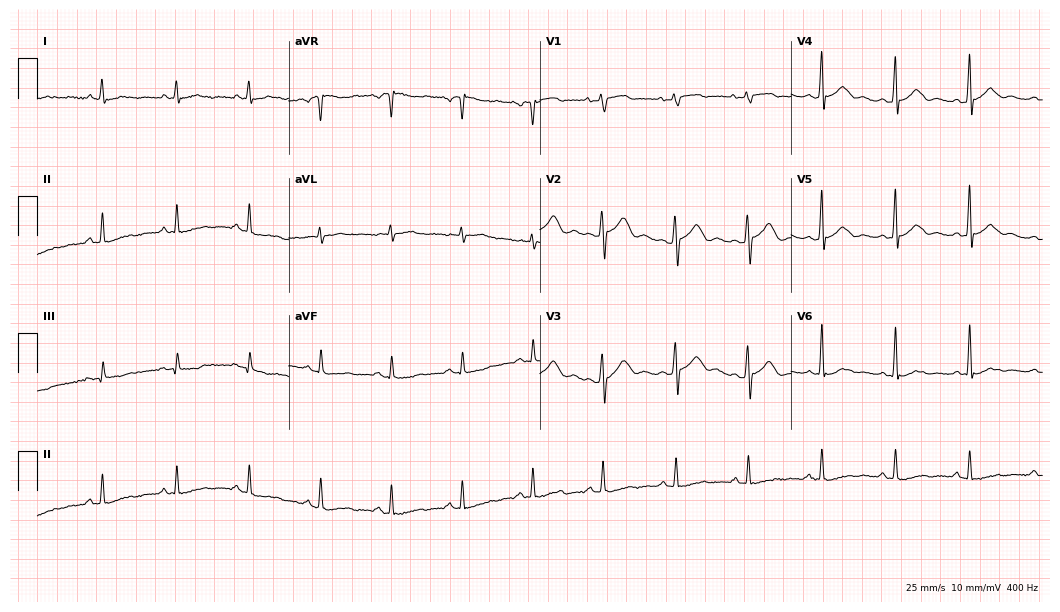
12-lead ECG from a man, 36 years old. Screened for six findings — first-degree AV block, right bundle branch block, left bundle branch block, sinus bradycardia, atrial fibrillation, sinus tachycardia — none is recorded.